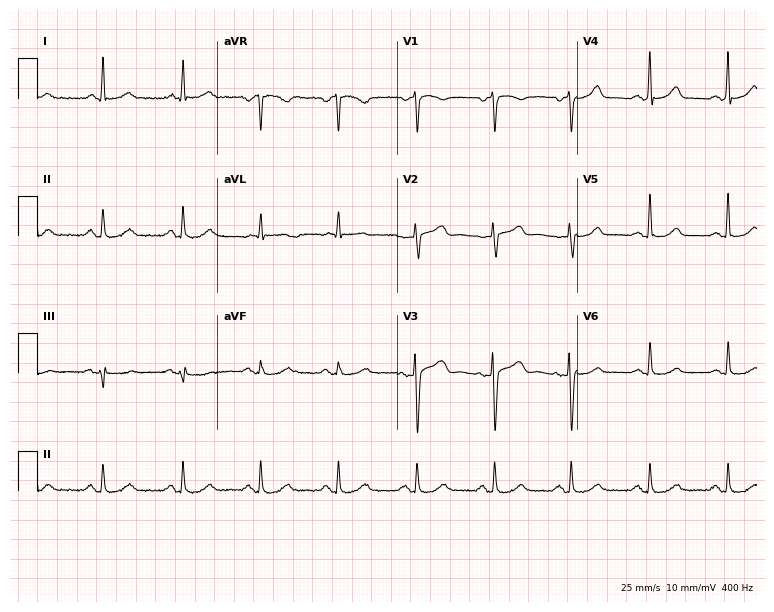
Resting 12-lead electrocardiogram (7.3-second recording at 400 Hz). Patient: a woman, 56 years old. None of these six findings is recorded: first-degree AV block, right bundle branch block, left bundle branch block, sinus bradycardia, atrial fibrillation, sinus tachycardia.